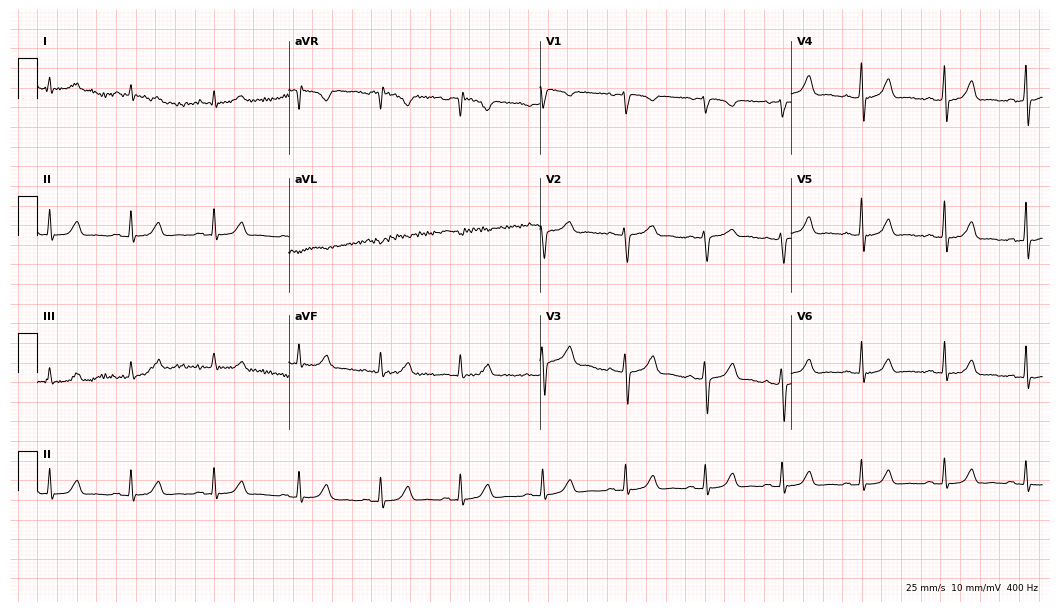
Standard 12-lead ECG recorded from a 40-year-old female patient (10.2-second recording at 400 Hz). Read as a normal ECG.